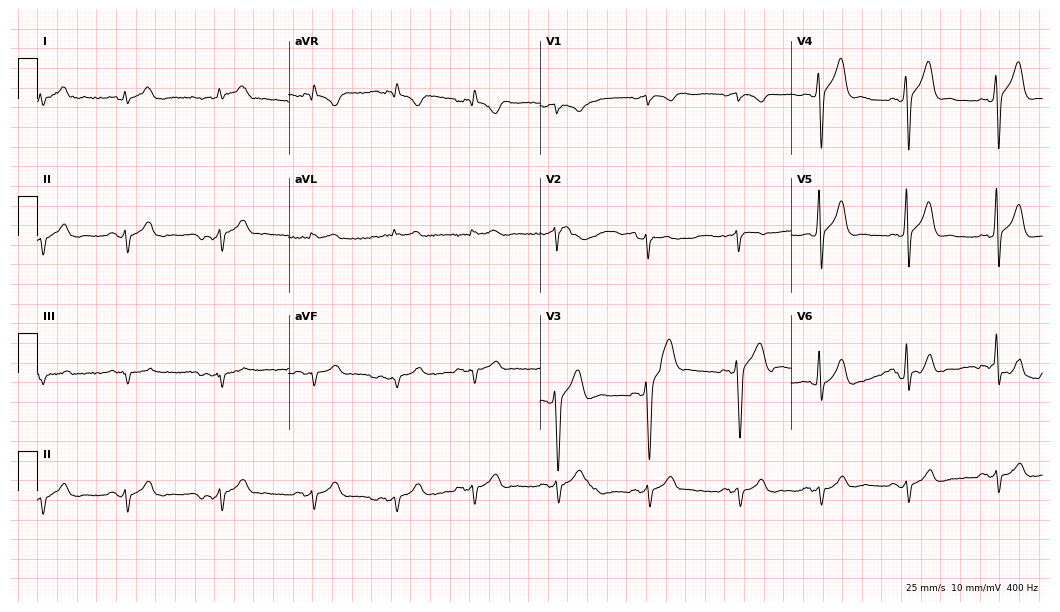
ECG — a man, 35 years old. Screened for six findings — first-degree AV block, right bundle branch block, left bundle branch block, sinus bradycardia, atrial fibrillation, sinus tachycardia — none is recorded. Findings outside these six are not listed.